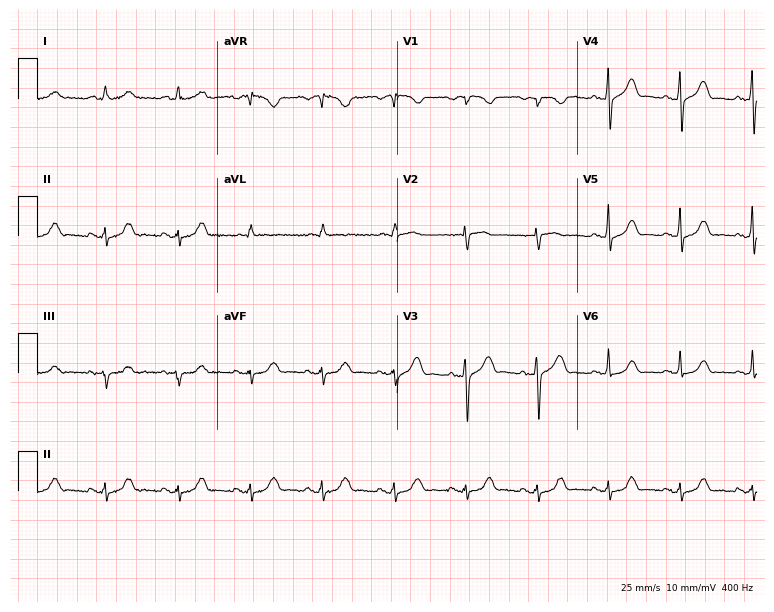
12-lead ECG (7.3-second recording at 400 Hz) from a male patient, 76 years old. Labelled as a normal ECG.